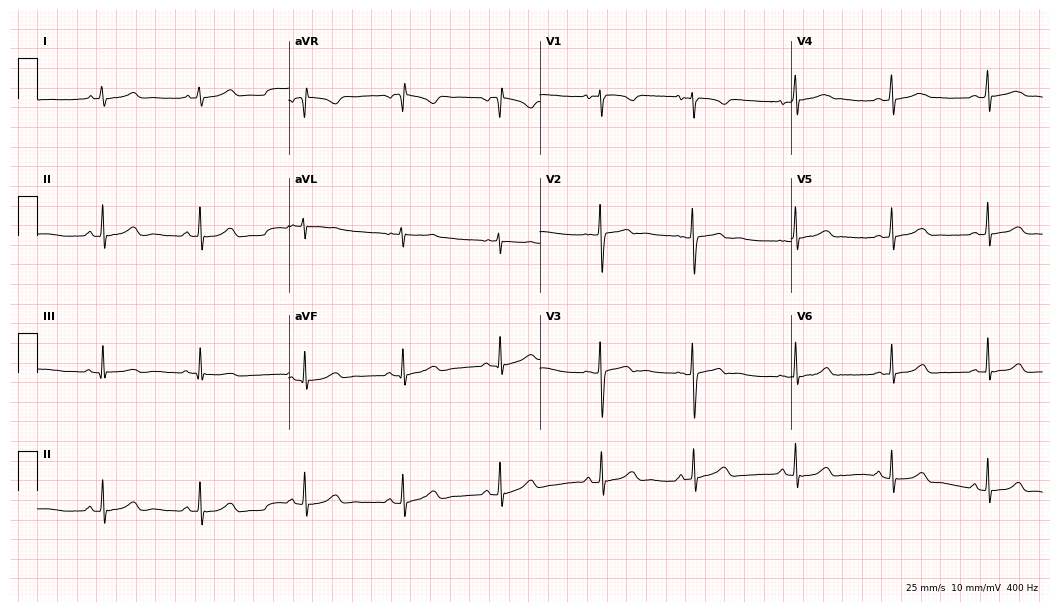
ECG — a 17-year-old female patient. Labelled as a normal ECG.